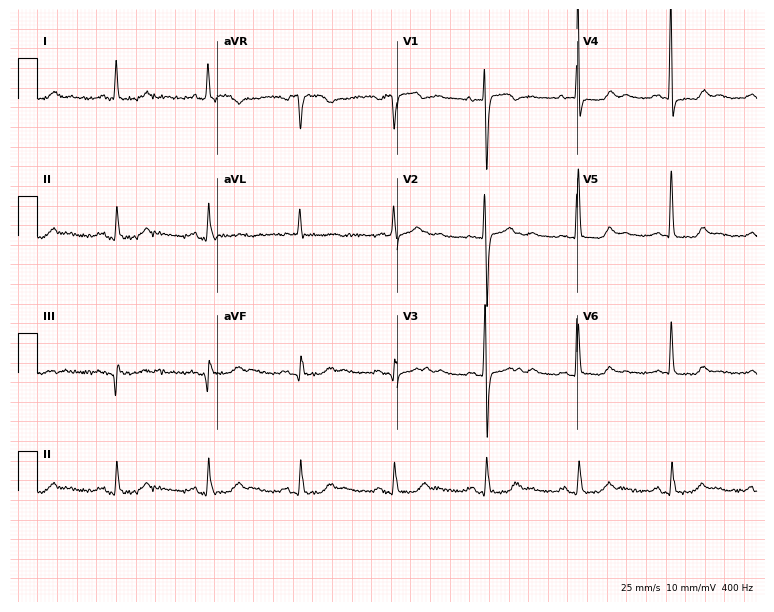
ECG — a woman, 67 years old. Screened for six findings — first-degree AV block, right bundle branch block, left bundle branch block, sinus bradycardia, atrial fibrillation, sinus tachycardia — none is recorded. Other findings, if any, are not listed.